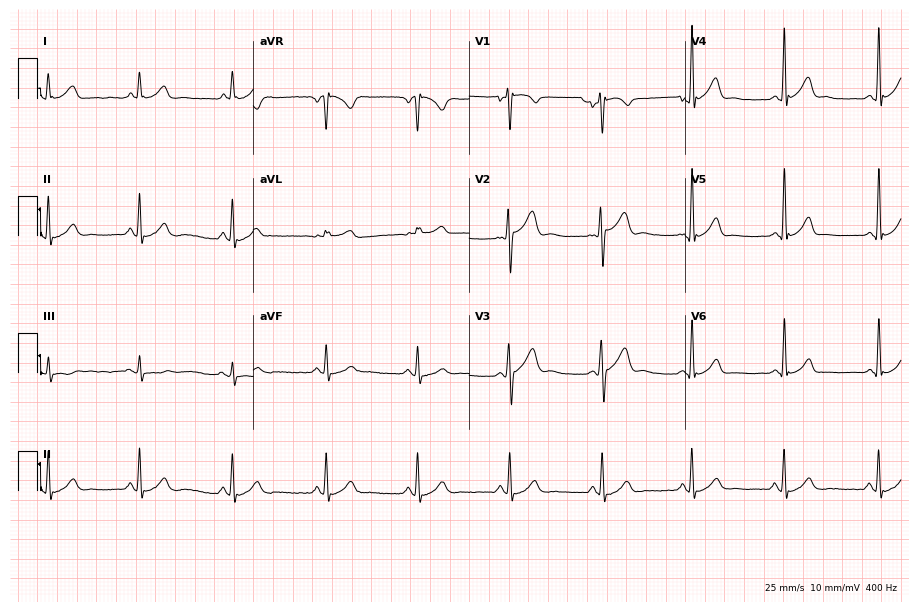
Electrocardiogram, a 27-year-old male patient. Of the six screened findings (first-degree AV block, right bundle branch block, left bundle branch block, sinus bradycardia, atrial fibrillation, sinus tachycardia), none is recorded. Other findings, if any, are not listed.